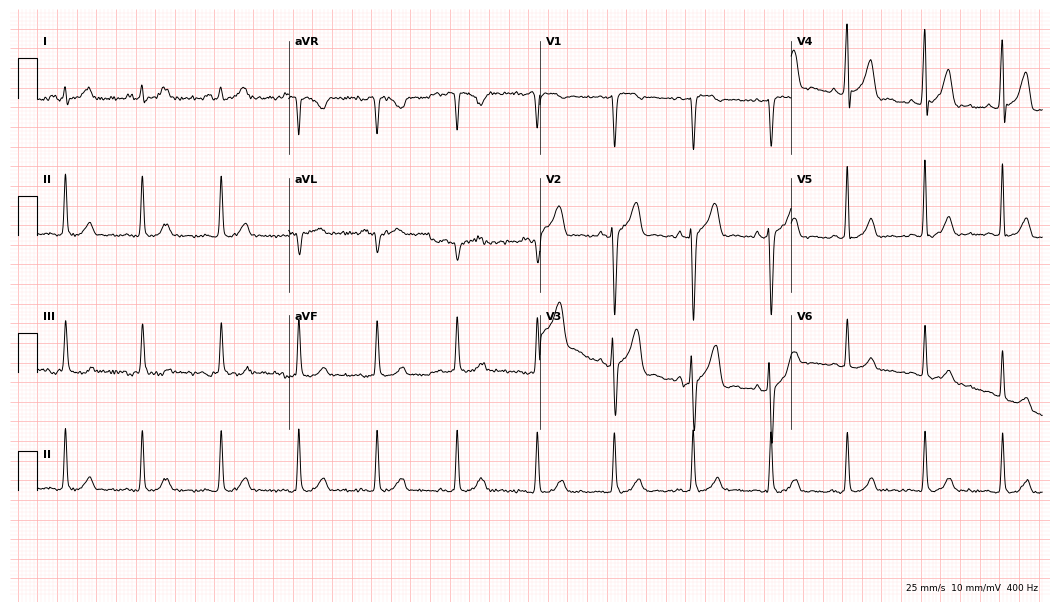
Electrocardiogram (10.2-second recording at 400 Hz), a 42-year-old male patient. Overall reading on record: normal ECG.